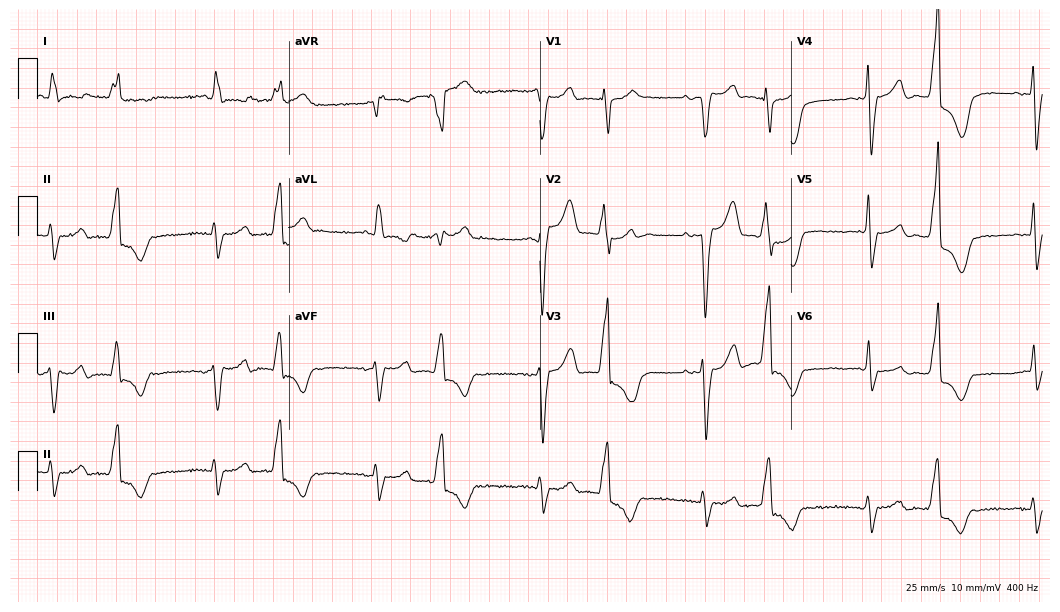
Resting 12-lead electrocardiogram. Patient: an 84-year-old man. The tracing shows left bundle branch block.